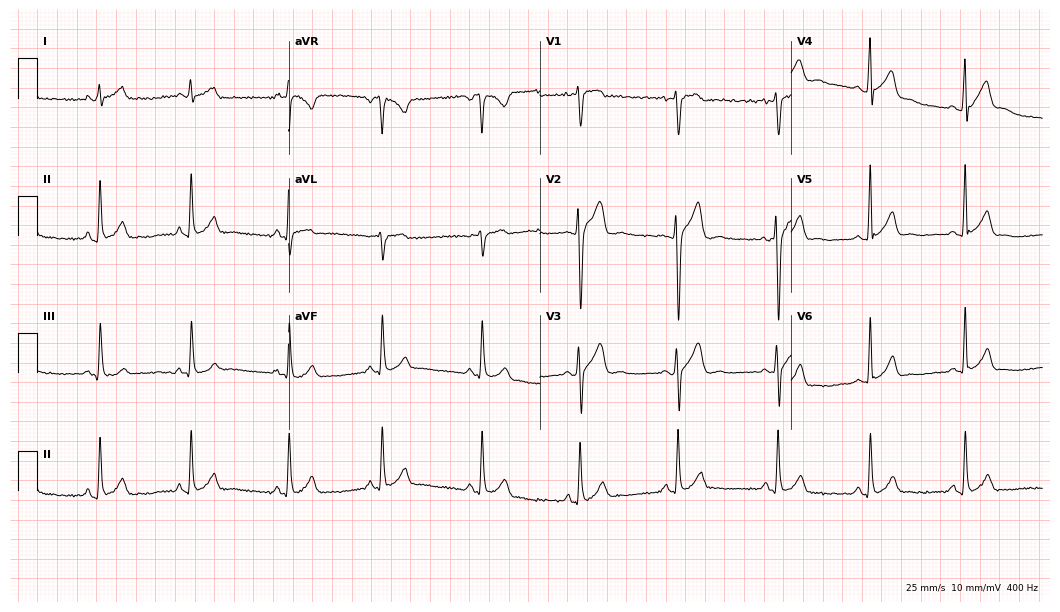
ECG (10.2-second recording at 400 Hz) — a male patient, 20 years old. Screened for six findings — first-degree AV block, right bundle branch block (RBBB), left bundle branch block (LBBB), sinus bradycardia, atrial fibrillation (AF), sinus tachycardia — none is recorded.